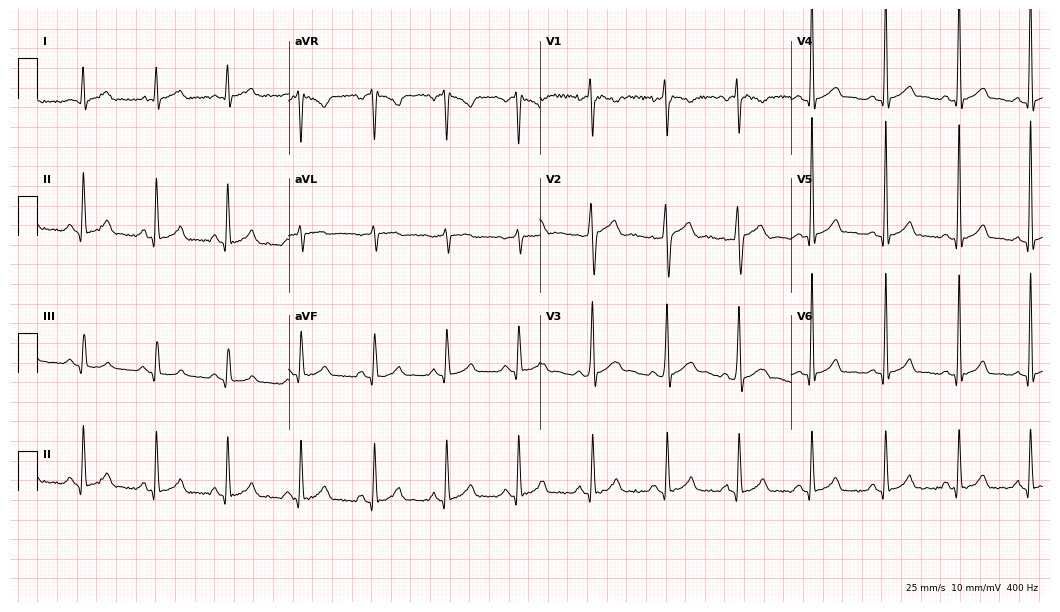
Resting 12-lead electrocardiogram. Patient: a male, 39 years old. Read as a normal ECG.